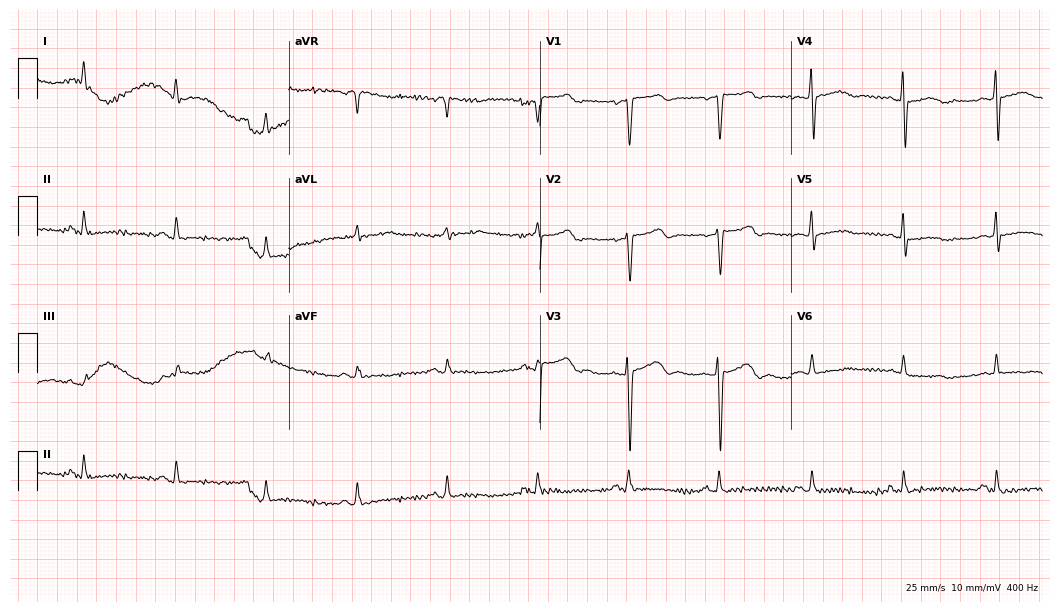
Electrocardiogram (10.2-second recording at 400 Hz), a 53-year-old female patient. Of the six screened findings (first-degree AV block, right bundle branch block, left bundle branch block, sinus bradycardia, atrial fibrillation, sinus tachycardia), none is recorded.